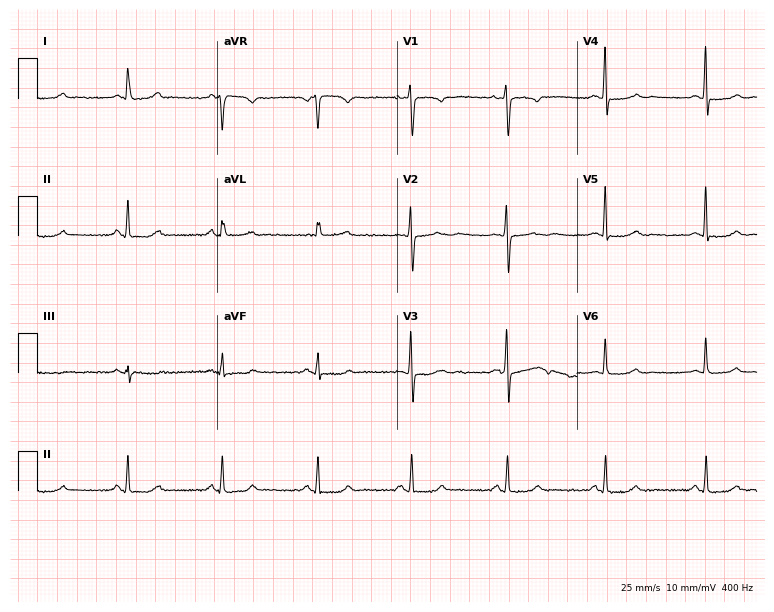
Electrocardiogram (7.3-second recording at 400 Hz), a 45-year-old woman. Of the six screened findings (first-degree AV block, right bundle branch block (RBBB), left bundle branch block (LBBB), sinus bradycardia, atrial fibrillation (AF), sinus tachycardia), none is recorded. Other findings, if any, are not listed.